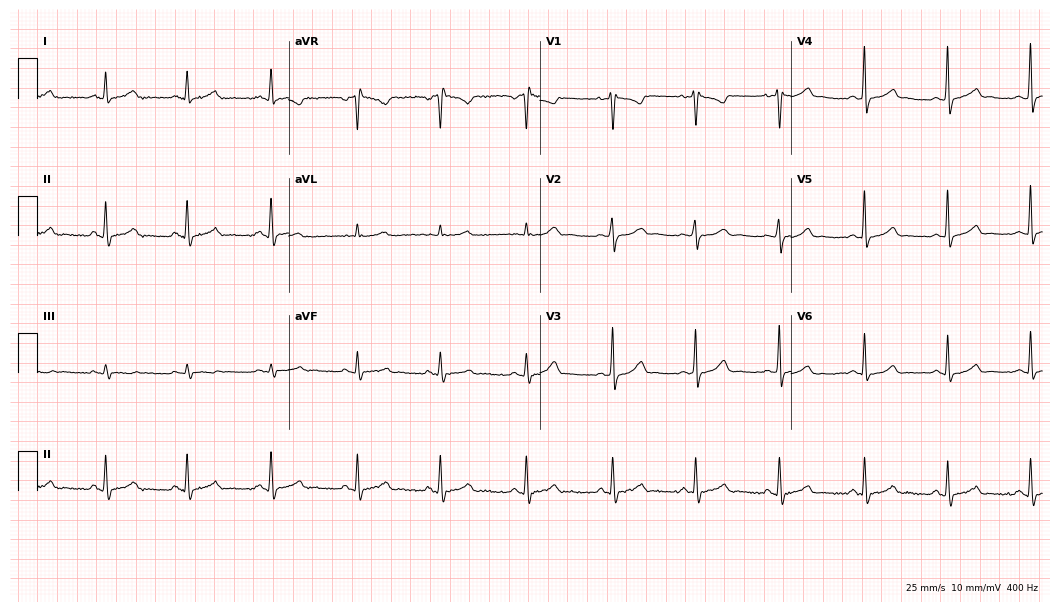
Electrocardiogram (10.2-second recording at 400 Hz), a female patient, 20 years old. Of the six screened findings (first-degree AV block, right bundle branch block, left bundle branch block, sinus bradycardia, atrial fibrillation, sinus tachycardia), none is recorded.